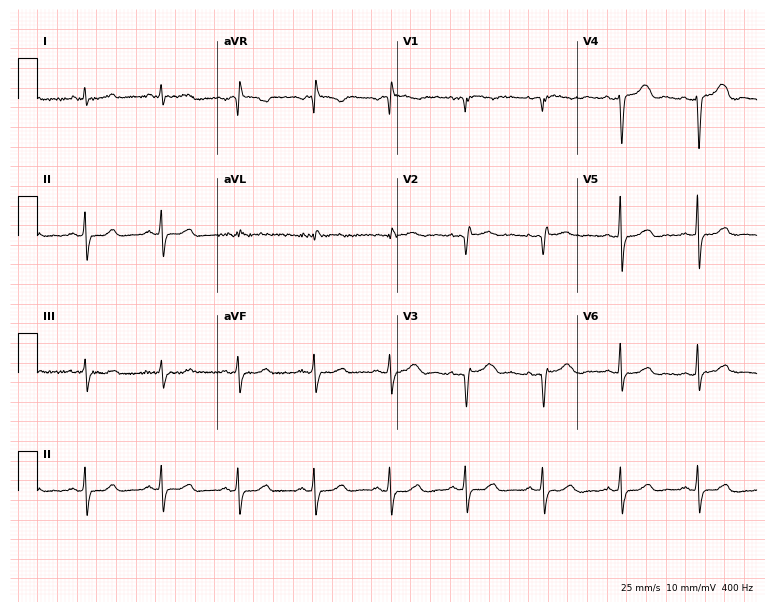
12-lead ECG (7.3-second recording at 400 Hz) from a 43-year-old woman. Screened for six findings — first-degree AV block, right bundle branch block, left bundle branch block, sinus bradycardia, atrial fibrillation, sinus tachycardia — none is recorded. Other findings, if any, are not listed.